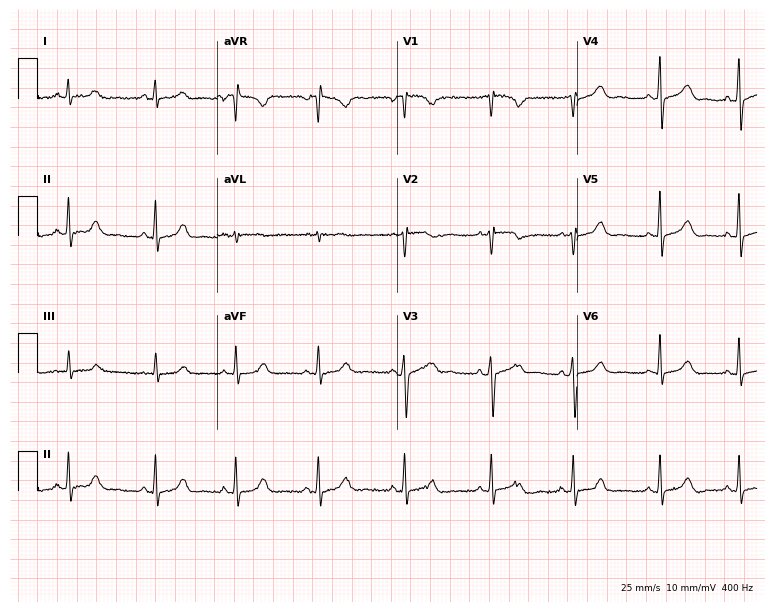
ECG — a 25-year-old female. Labelled as a normal ECG.